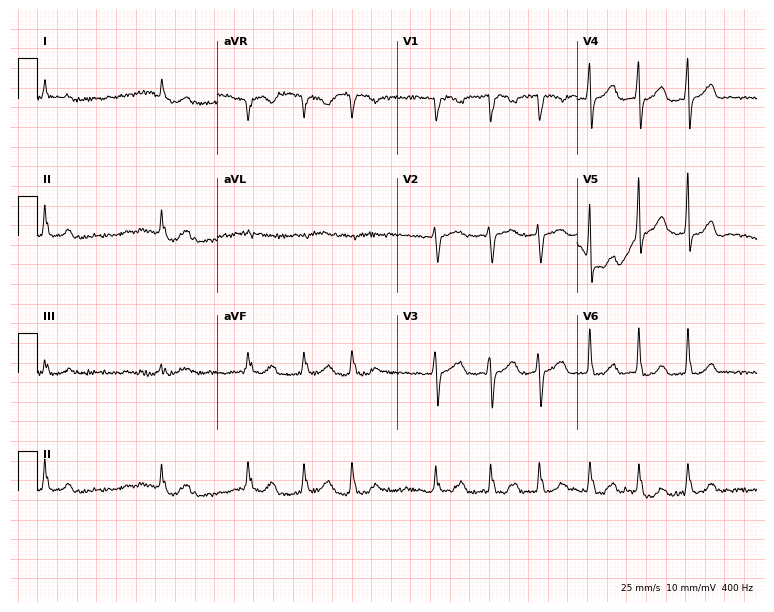
12-lead ECG from a male patient, 77 years old. Shows atrial fibrillation (AF).